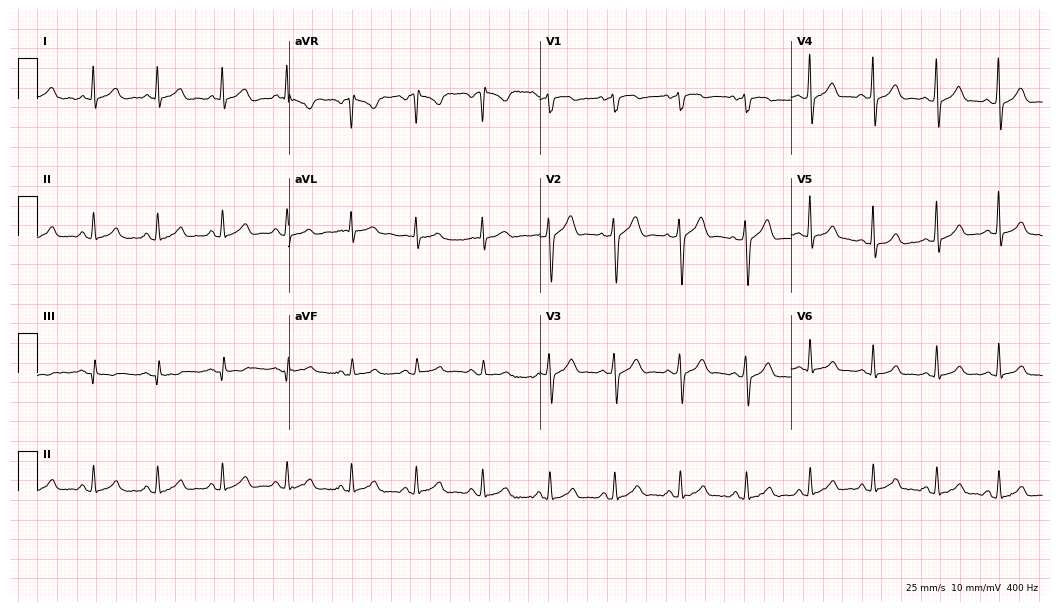
Standard 12-lead ECG recorded from a 59-year-old man (10.2-second recording at 400 Hz). Read as a normal ECG.